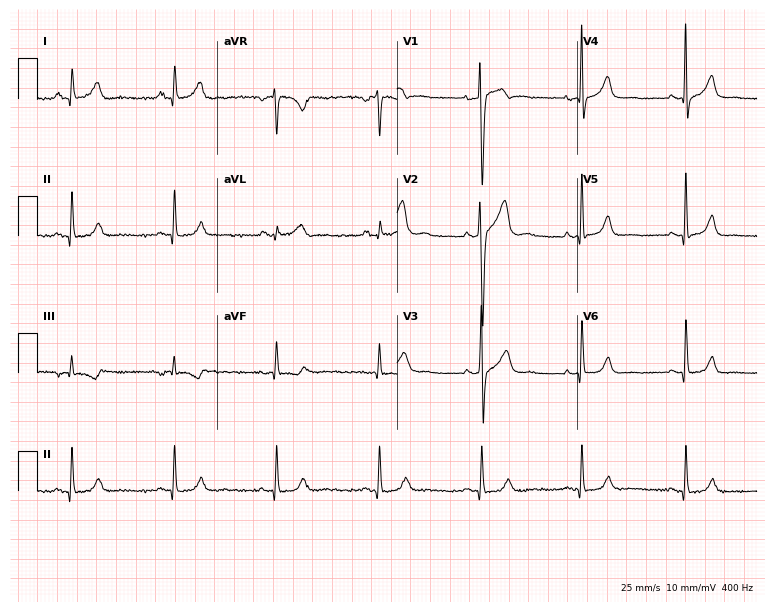
ECG (7.3-second recording at 400 Hz) — a man, 24 years old. Labelled as a normal ECG.